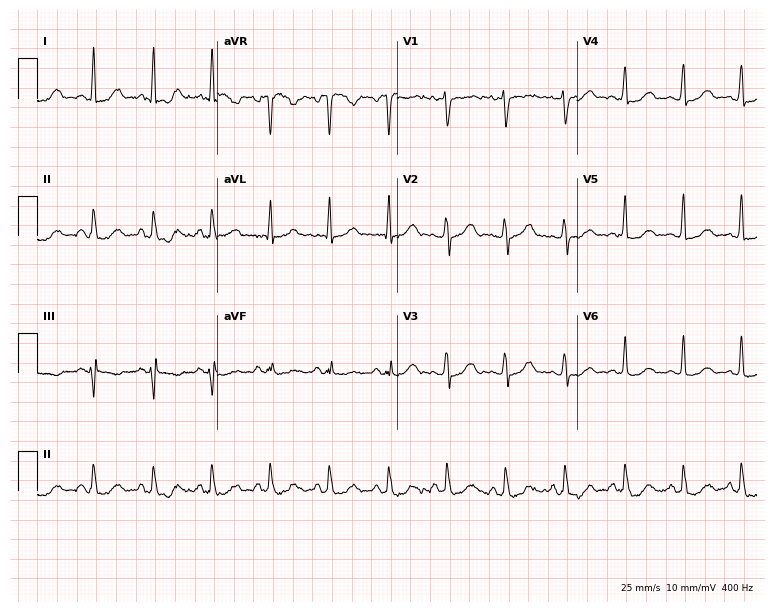
ECG (7.3-second recording at 400 Hz) — a 34-year-old female. Screened for six findings — first-degree AV block, right bundle branch block (RBBB), left bundle branch block (LBBB), sinus bradycardia, atrial fibrillation (AF), sinus tachycardia — none is recorded. Other findings, if any, are not listed.